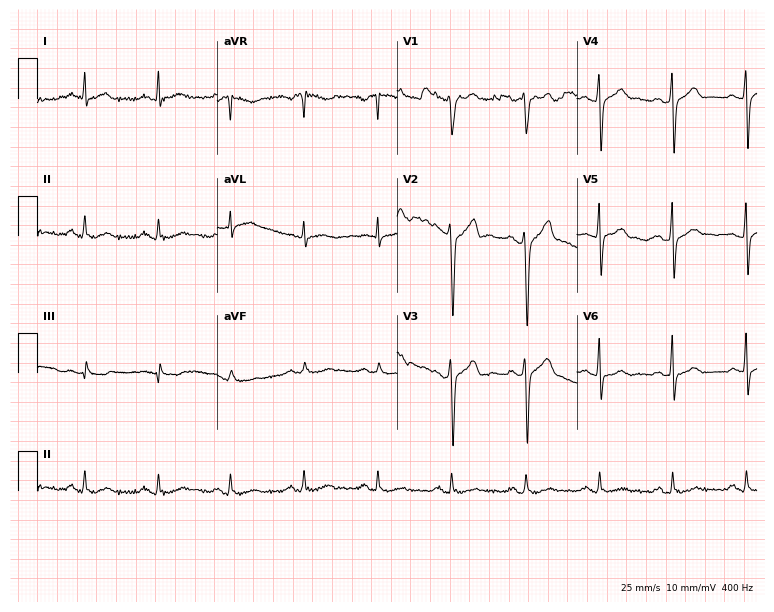
12-lead ECG from a man, 41 years old. No first-degree AV block, right bundle branch block, left bundle branch block, sinus bradycardia, atrial fibrillation or sinus tachycardia recorded for this tracing.